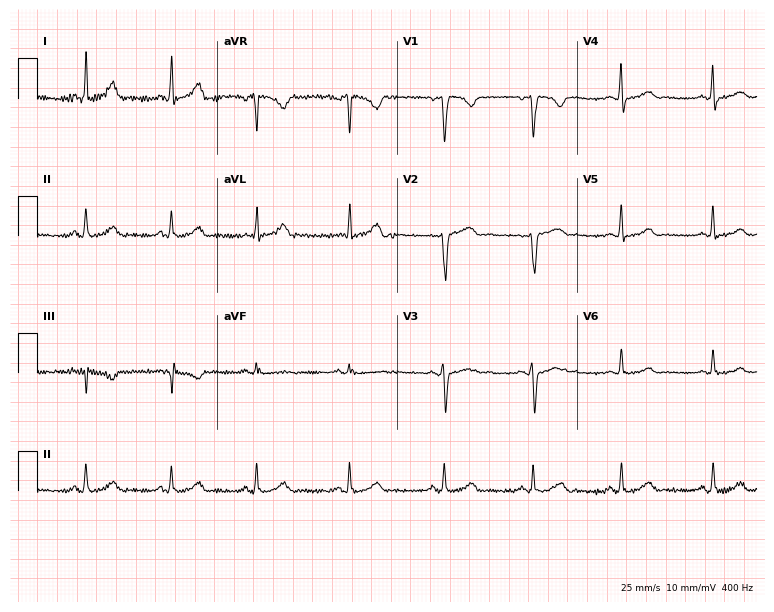
Standard 12-lead ECG recorded from a 39-year-old woman. Read as a normal ECG.